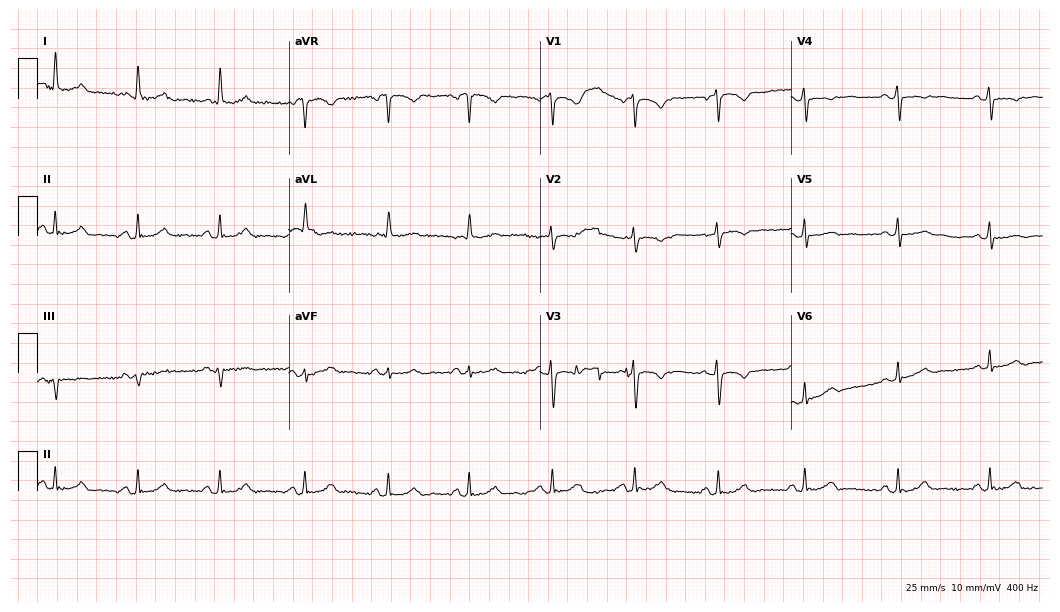
Resting 12-lead electrocardiogram (10.2-second recording at 400 Hz). Patient: a 58-year-old woman. None of these six findings is recorded: first-degree AV block, right bundle branch block, left bundle branch block, sinus bradycardia, atrial fibrillation, sinus tachycardia.